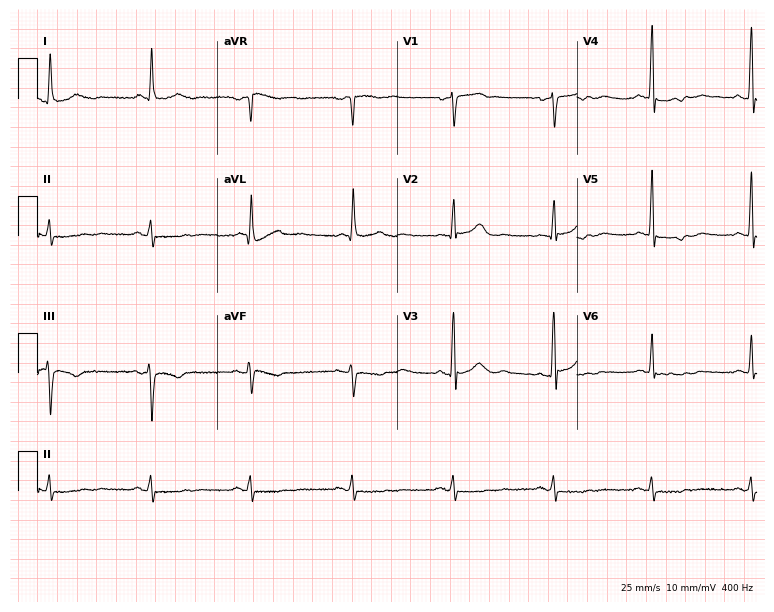
12-lead ECG (7.3-second recording at 400 Hz) from a 71-year-old man. Screened for six findings — first-degree AV block, right bundle branch block, left bundle branch block, sinus bradycardia, atrial fibrillation, sinus tachycardia — none is recorded.